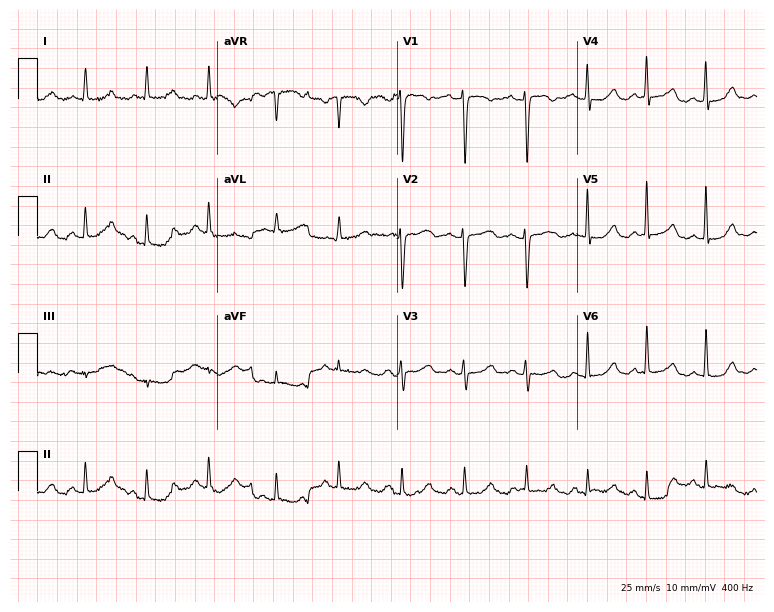
Electrocardiogram (7.3-second recording at 400 Hz), a 49-year-old female patient. Overall reading on record: normal ECG.